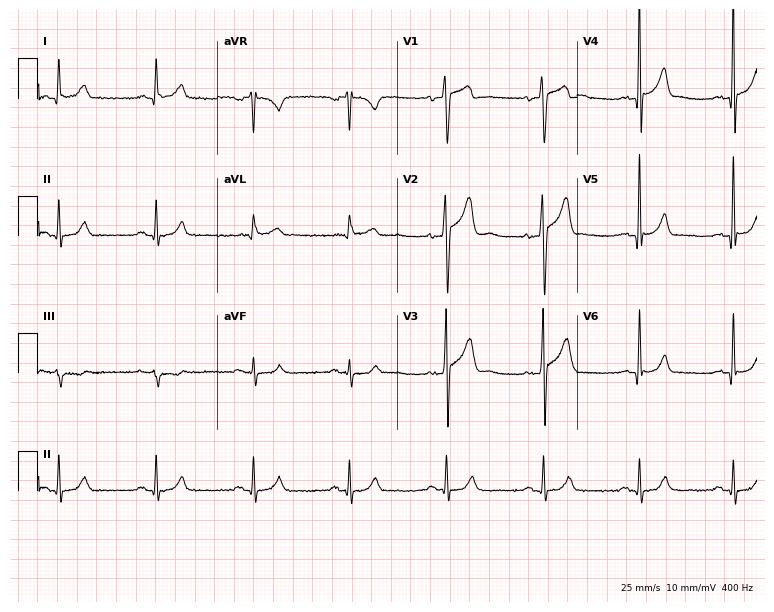
12-lead ECG from a man, 31 years old. No first-degree AV block, right bundle branch block, left bundle branch block, sinus bradycardia, atrial fibrillation or sinus tachycardia recorded for this tracing. Other findings, if any, are not listed.